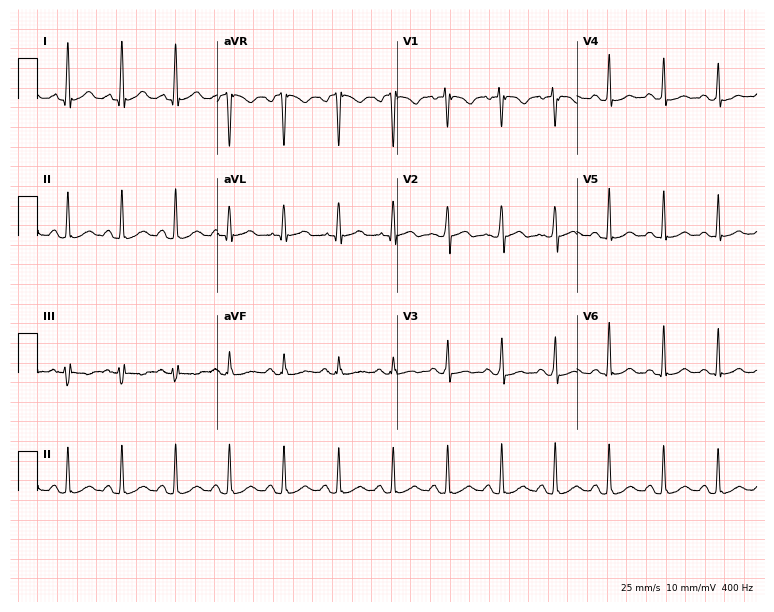
12-lead ECG from a woman, 23 years old. Screened for six findings — first-degree AV block, right bundle branch block, left bundle branch block, sinus bradycardia, atrial fibrillation, sinus tachycardia — none is recorded.